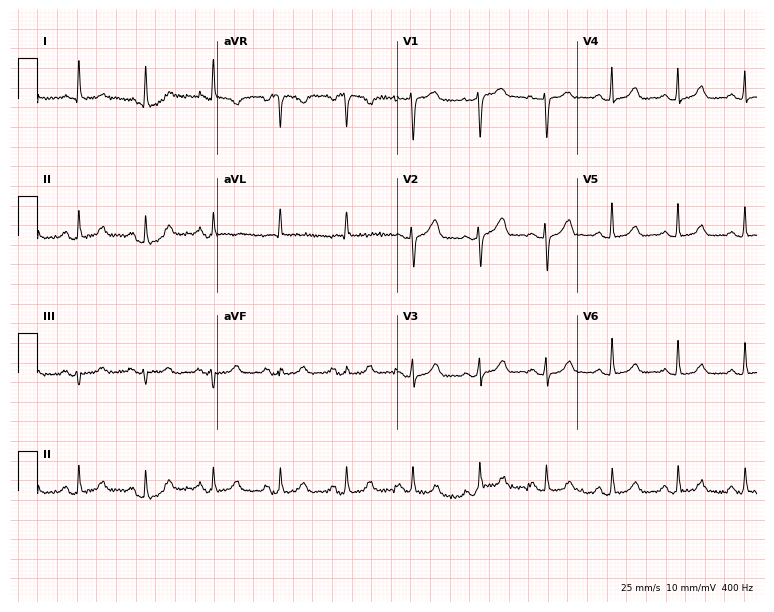
12-lead ECG from a 69-year-old female patient. Labelled as a normal ECG.